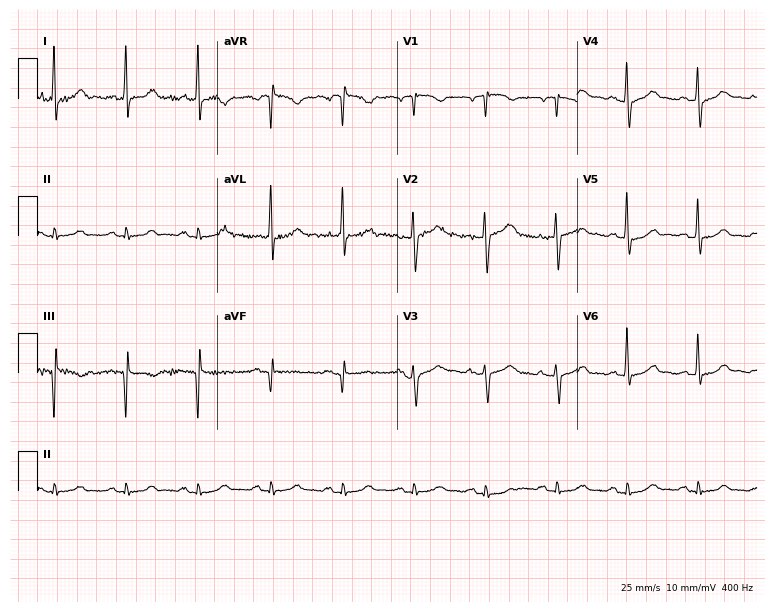
Electrocardiogram (7.3-second recording at 400 Hz), a 79-year-old male. Overall reading on record: normal ECG.